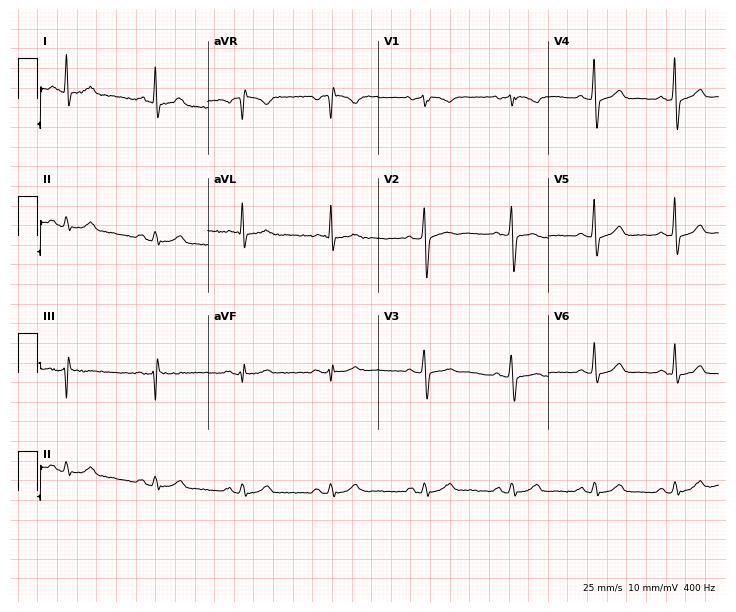
ECG — a male patient, 40 years old. Screened for six findings — first-degree AV block, right bundle branch block, left bundle branch block, sinus bradycardia, atrial fibrillation, sinus tachycardia — none is recorded.